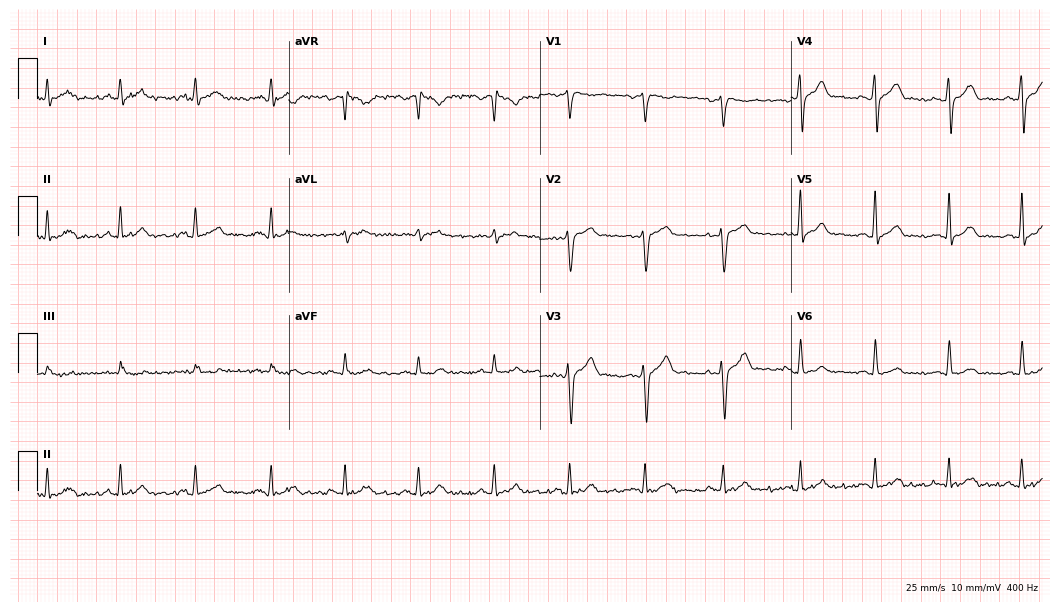
Standard 12-lead ECG recorded from a male, 27 years old (10.2-second recording at 400 Hz). Read as a normal ECG.